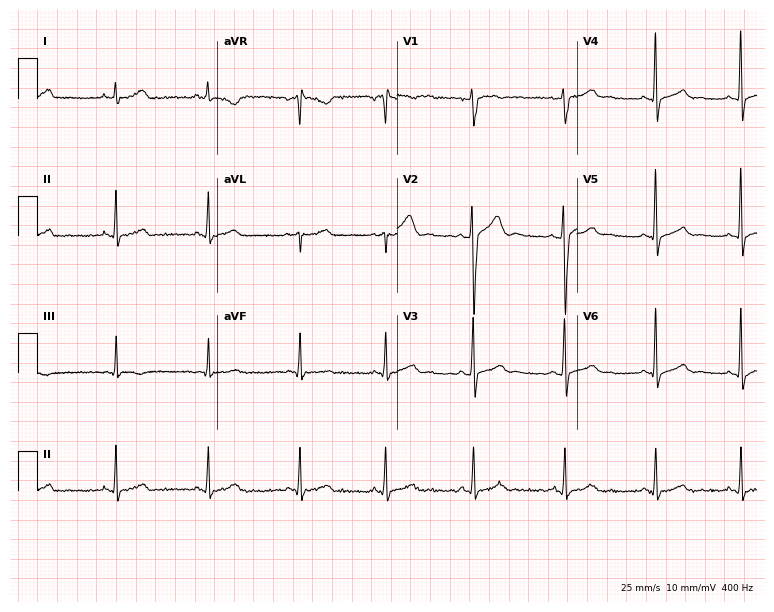
Resting 12-lead electrocardiogram (7.3-second recording at 400 Hz). Patient: a 29-year-old male. Read as a normal ECG.